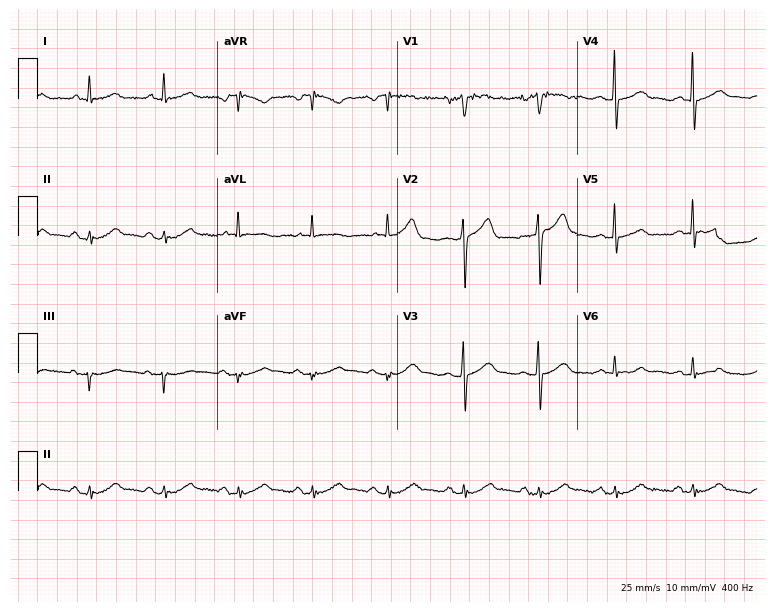
Electrocardiogram, a 44-year-old male patient. Overall reading on record: normal ECG.